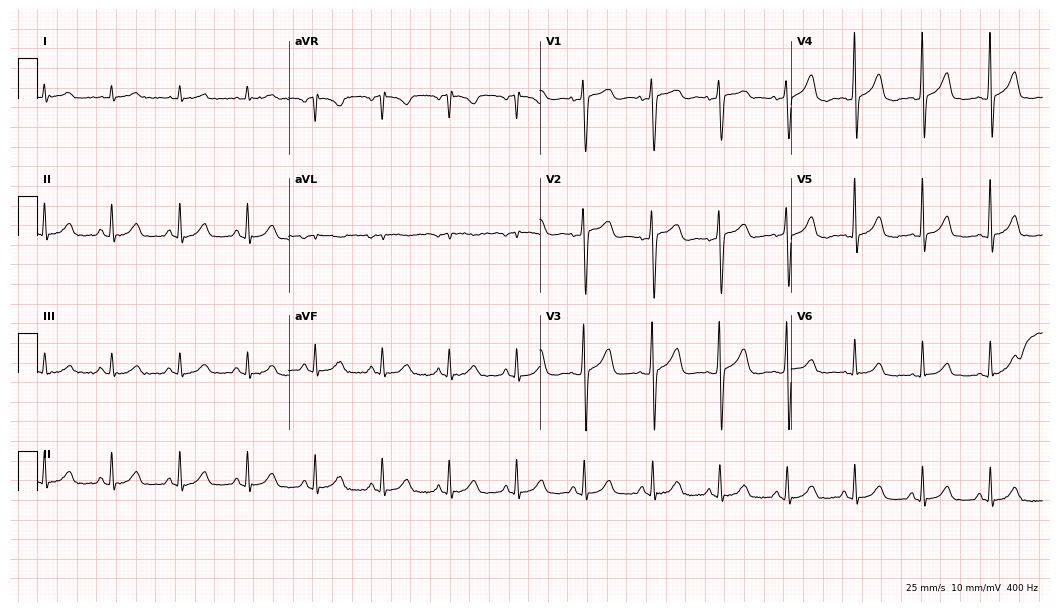
12-lead ECG (10.2-second recording at 400 Hz) from a 69-year-old female. Labelled as a normal ECG.